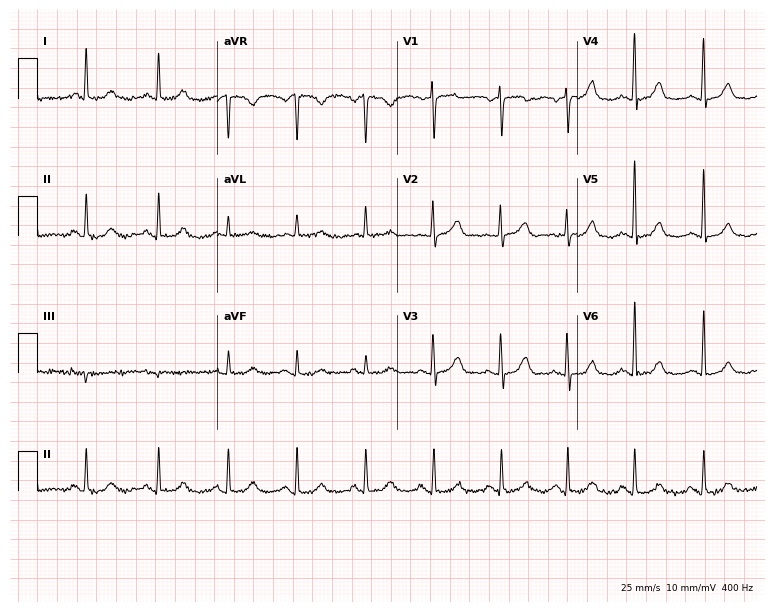
Standard 12-lead ECG recorded from a 77-year-old female patient. Read as a normal ECG.